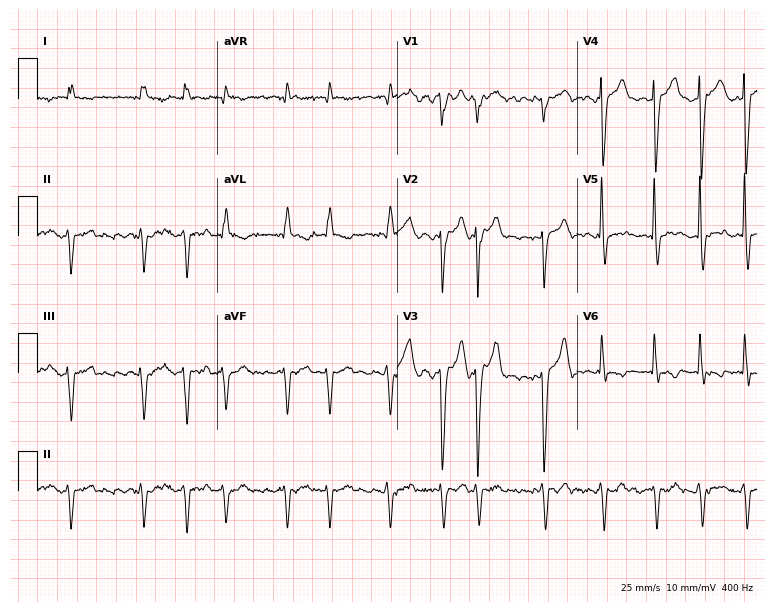
12-lead ECG from a 72-year-old male. Findings include atrial fibrillation.